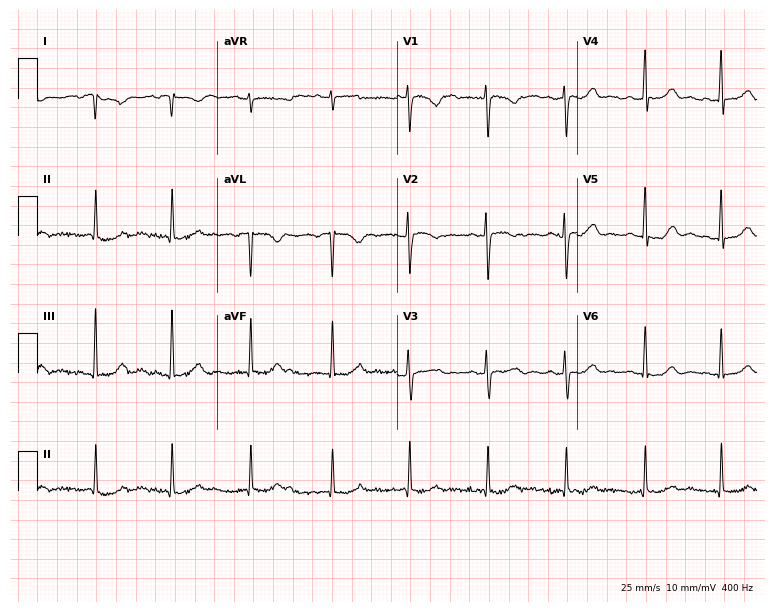
Standard 12-lead ECG recorded from a female, 43 years old. None of these six findings is recorded: first-degree AV block, right bundle branch block, left bundle branch block, sinus bradycardia, atrial fibrillation, sinus tachycardia. Only these six findings were labelled.